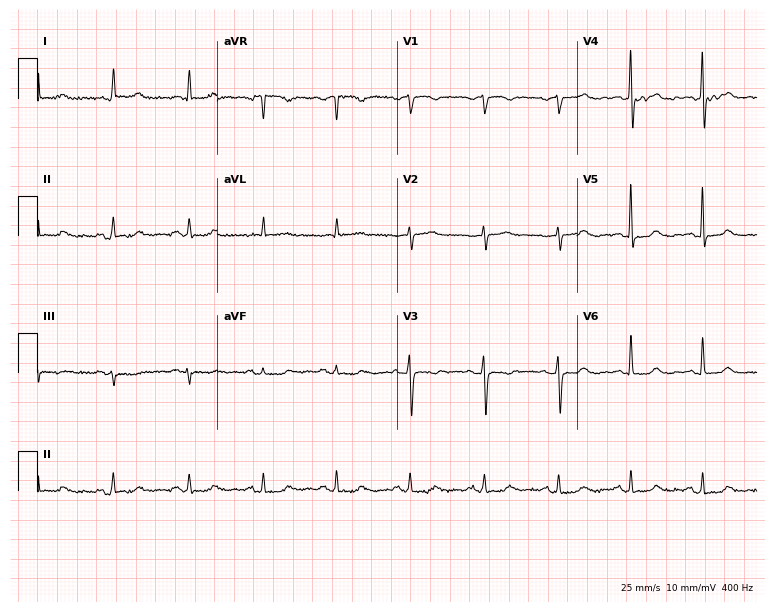
12-lead ECG from a female, 64 years old. No first-degree AV block, right bundle branch block, left bundle branch block, sinus bradycardia, atrial fibrillation or sinus tachycardia recorded for this tracing.